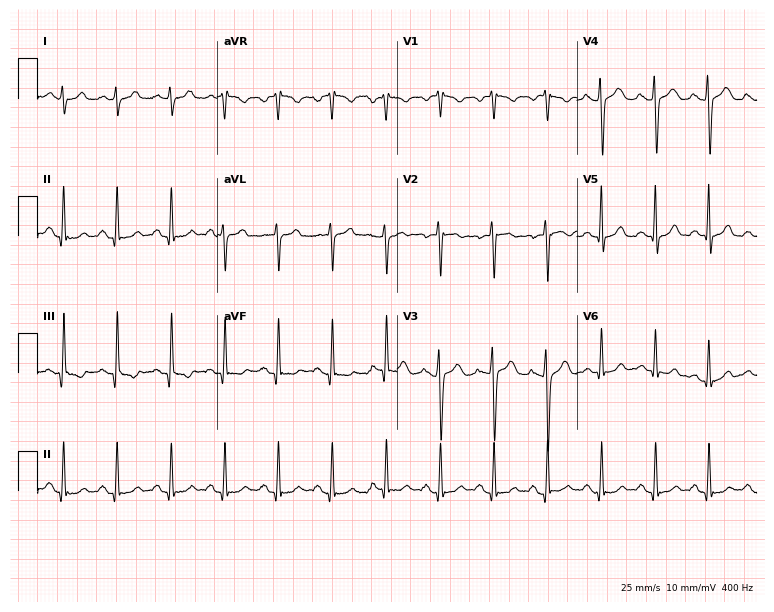
12-lead ECG from a 26-year-old woman. Findings include sinus tachycardia (a sinus rate of 100 beats per minute or more).